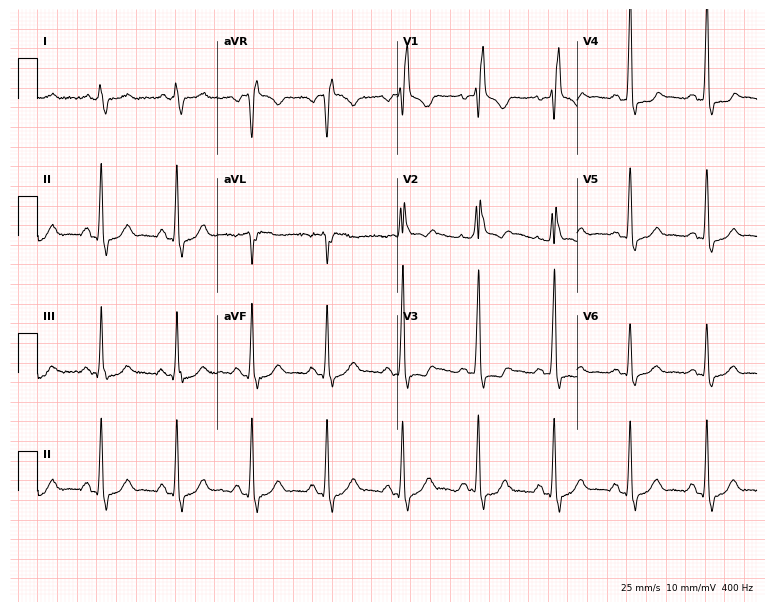
Resting 12-lead electrocardiogram (7.3-second recording at 400 Hz). Patient: a female, 81 years old. The tracing shows right bundle branch block.